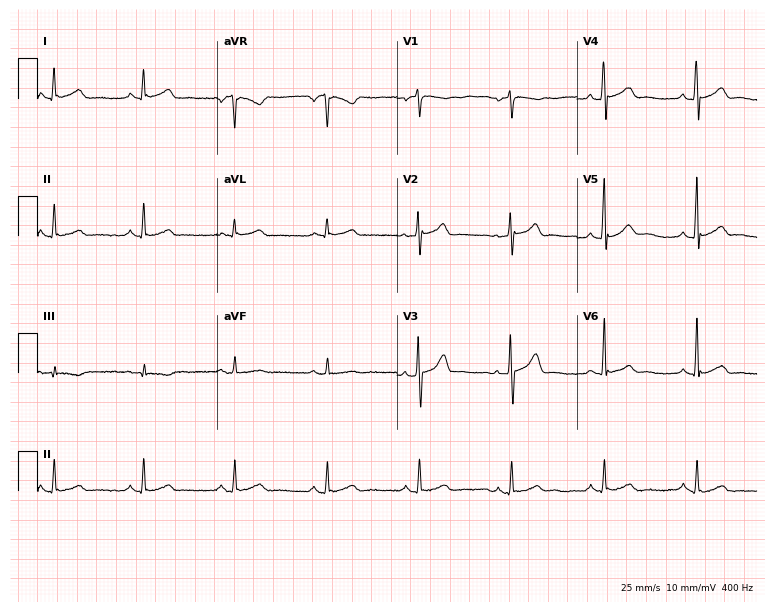
ECG — a male, 35 years old. Labelled as a normal ECG.